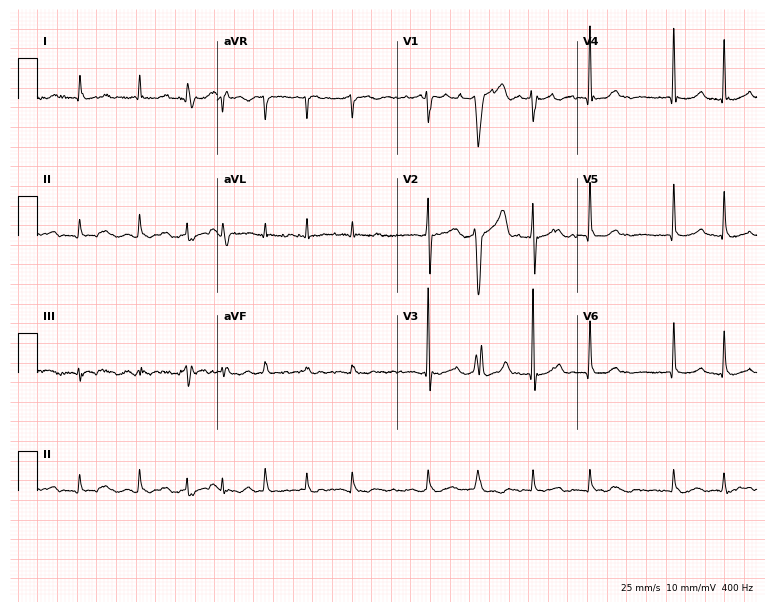
Standard 12-lead ECG recorded from a 69-year-old male. The tracing shows atrial fibrillation (AF).